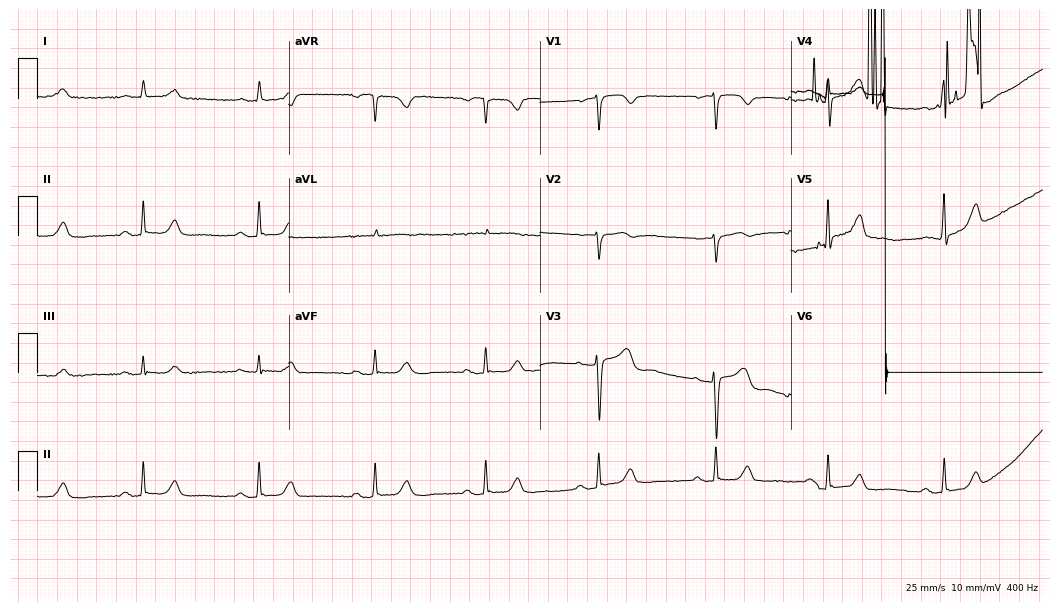
12-lead ECG from a 63-year-old female patient (10.2-second recording at 400 Hz). Shows first-degree AV block.